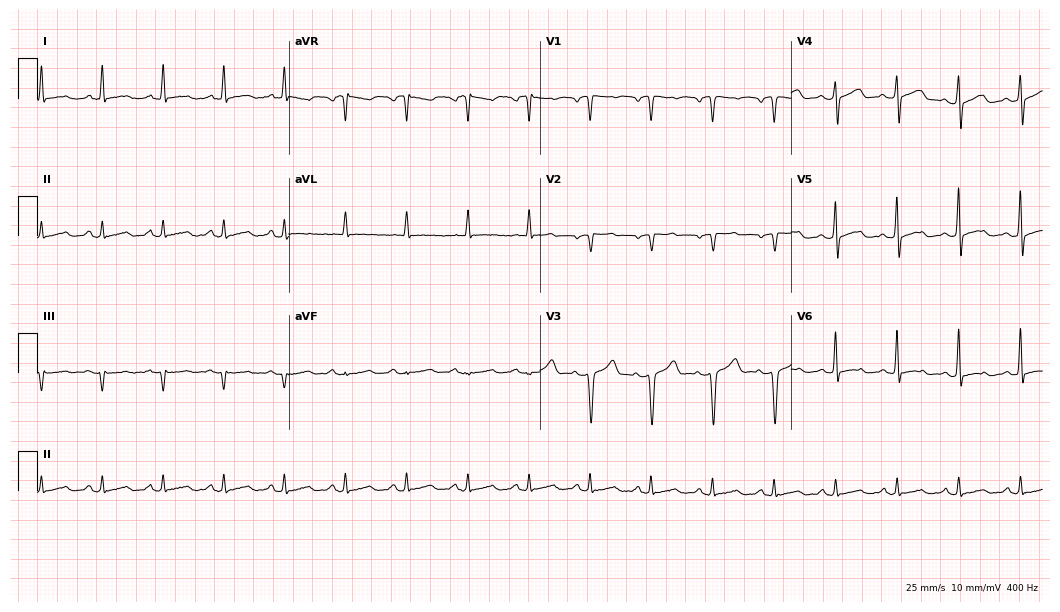
Standard 12-lead ECG recorded from a male patient, 54 years old (10.2-second recording at 400 Hz). None of these six findings is recorded: first-degree AV block, right bundle branch block (RBBB), left bundle branch block (LBBB), sinus bradycardia, atrial fibrillation (AF), sinus tachycardia.